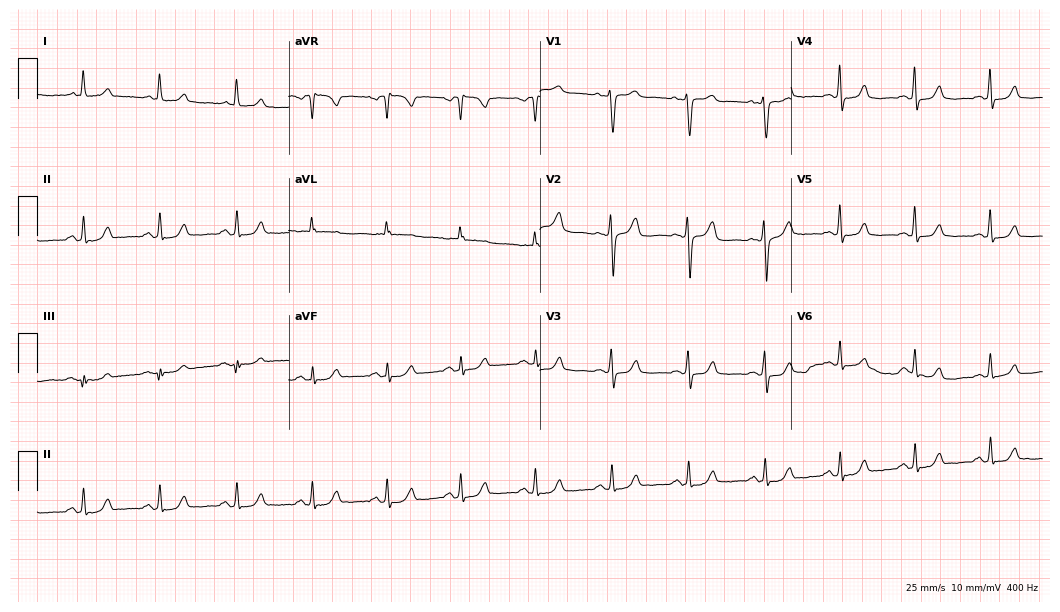
Standard 12-lead ECG recorded from a female, 66 years old. None of these six findings is recorded: first-degree AV block, right bundle branch block, left bundle branch block, sinus bradycardia, atrial fibrillation, sinus tachycardia.